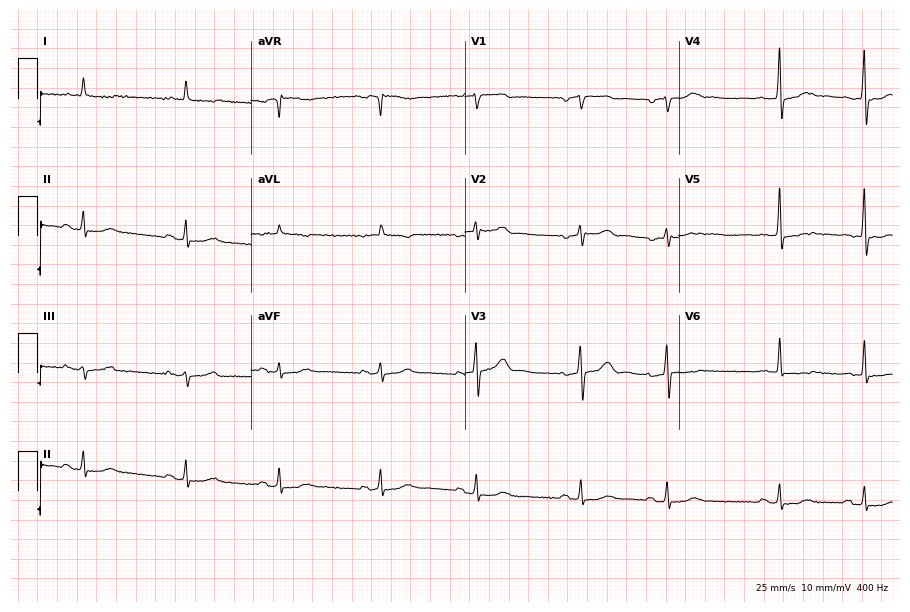
12-lead ECG from a 75-year-old male patient. Screened for six findings — first-degree AV block, right bundle branch block, left bundle branch block, sinus bradycardia, atrial fibrillation, sinus tachycardia — none is recorded. Other findings, if any, are not listed.